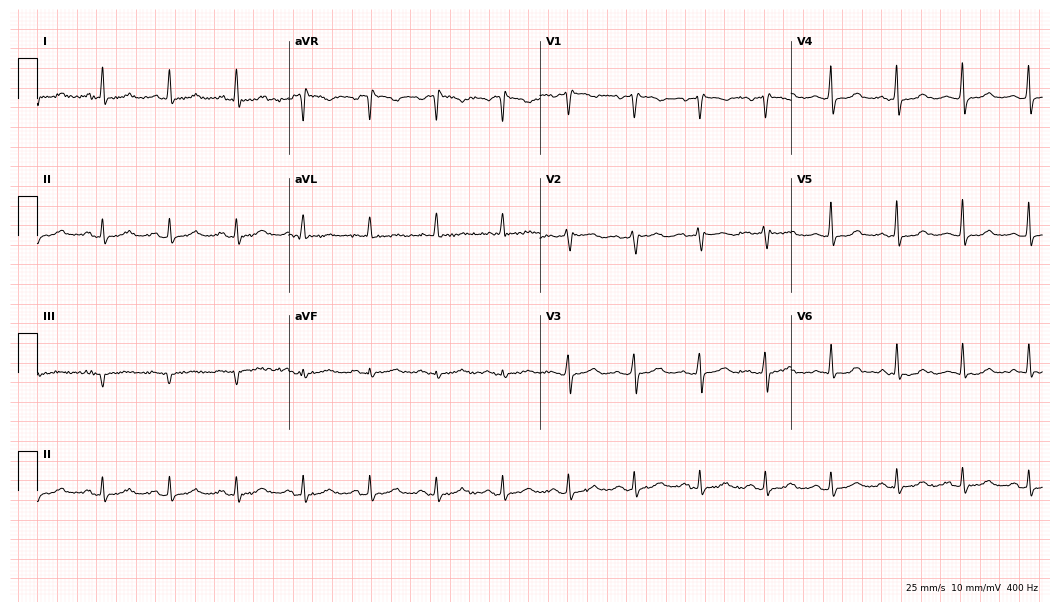
12-lead ECG (10.2-second recording at 400 Hz) from a 39-year-old female. Labelled as a normal ECG.